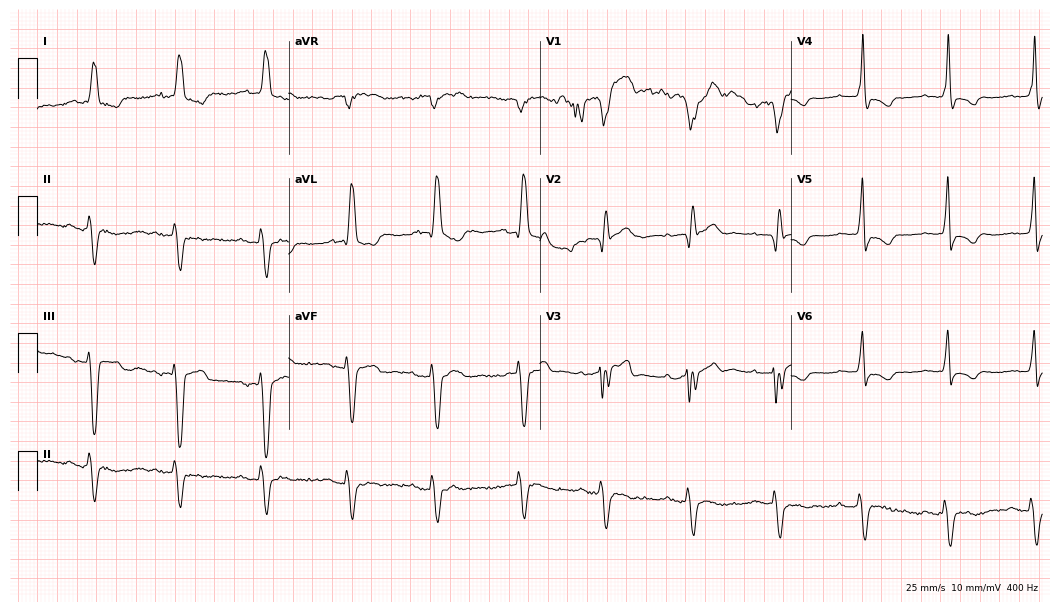
12-lead ECG from a male, 73 years old. No first-degree AV block, right bundle branch block, left bundle branch block, sinus bradycardia, atrial fibrillation or sinus tachycardia recorded for this tracing. Only these six findings were labelled.